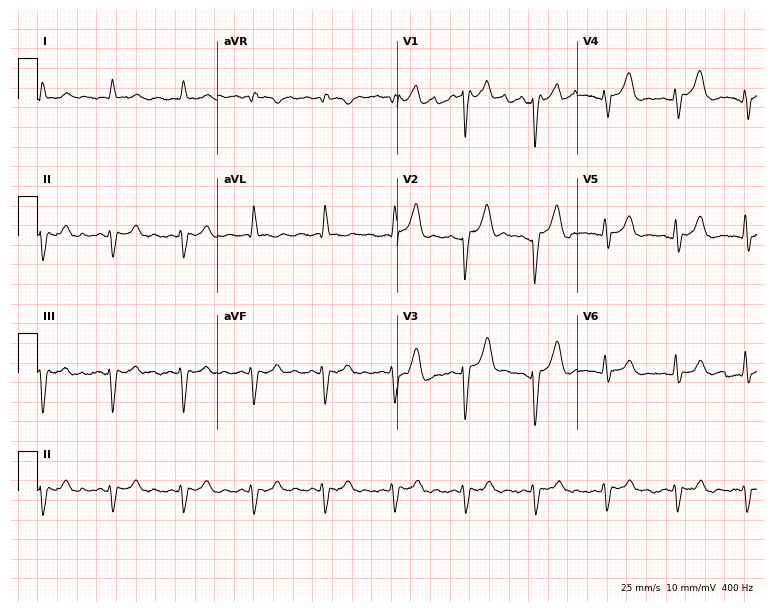
12-lead ECG from a female patient, 82 years old. Screened for six findings — first-degree AV block, right bundle branch block, left bundle branch block, sinus bradycardia, atrial fibrillation, sinus tachycardia — none is recorded.